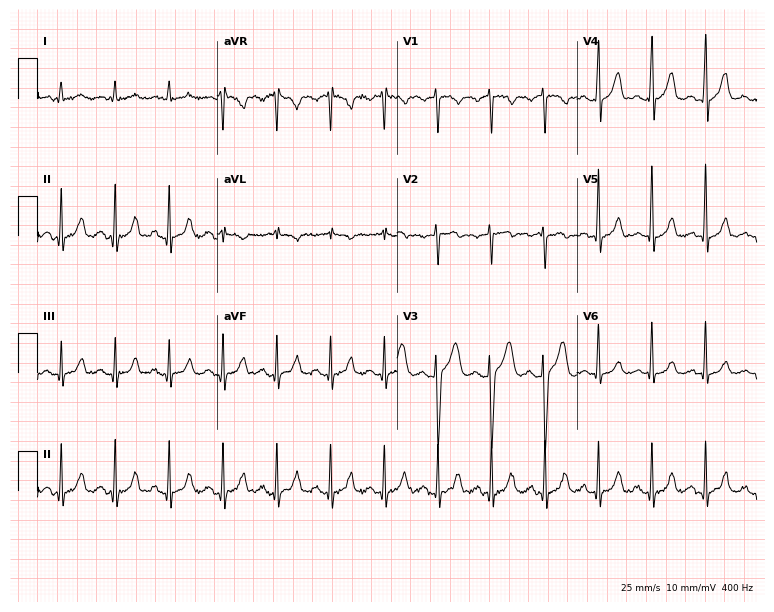
12-lead ECG from a 68-year-old male patient. Findings include sinus tachycardia (a sinus rate of 100 beats per minute or more).